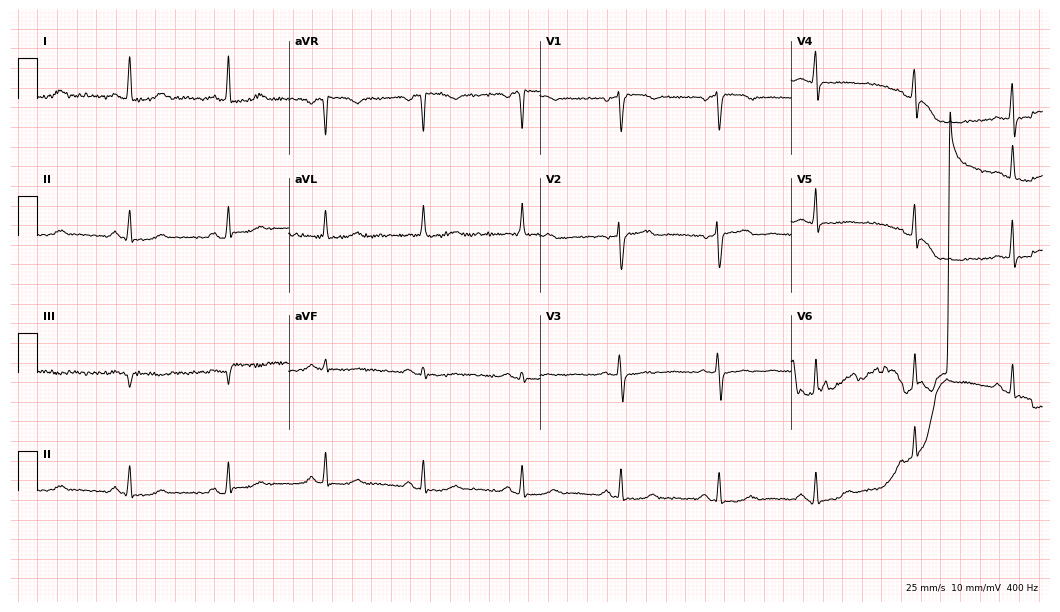
Standard 12-lead ECG recorded from a 55-year-old woman (10.2-second recording at 400 Hz). None of these six findings is recorded: first-degree AV block, right bundle branch block, left bundle branch block, sinus bradycardia, atrial fibrillation, sinus tachycardia.